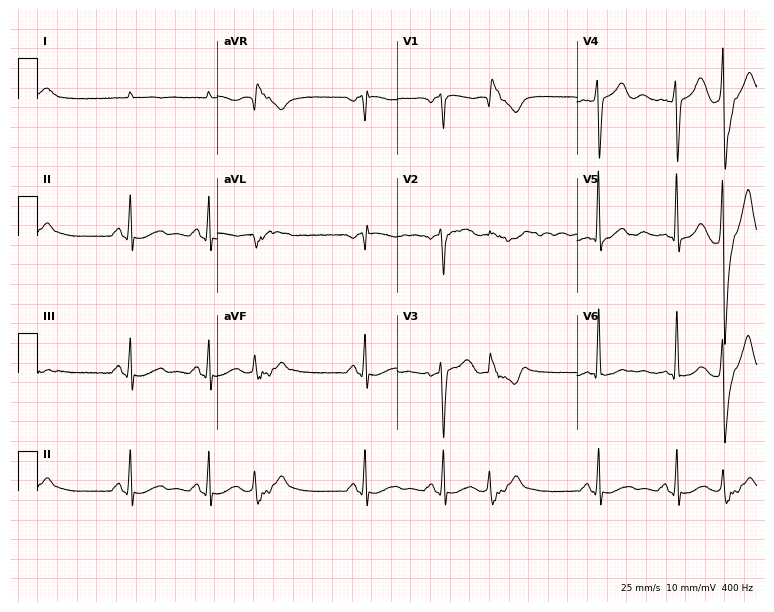
Electrocardiogram (7.3-second recording at 400 Hz), a 63-year-old male. Of the six screened findings (first-degree AV block, right bundle branch block, left bundle branch block, sinus bradycardia, atrial fibrillation, sinus tachycardia), none is recorded.